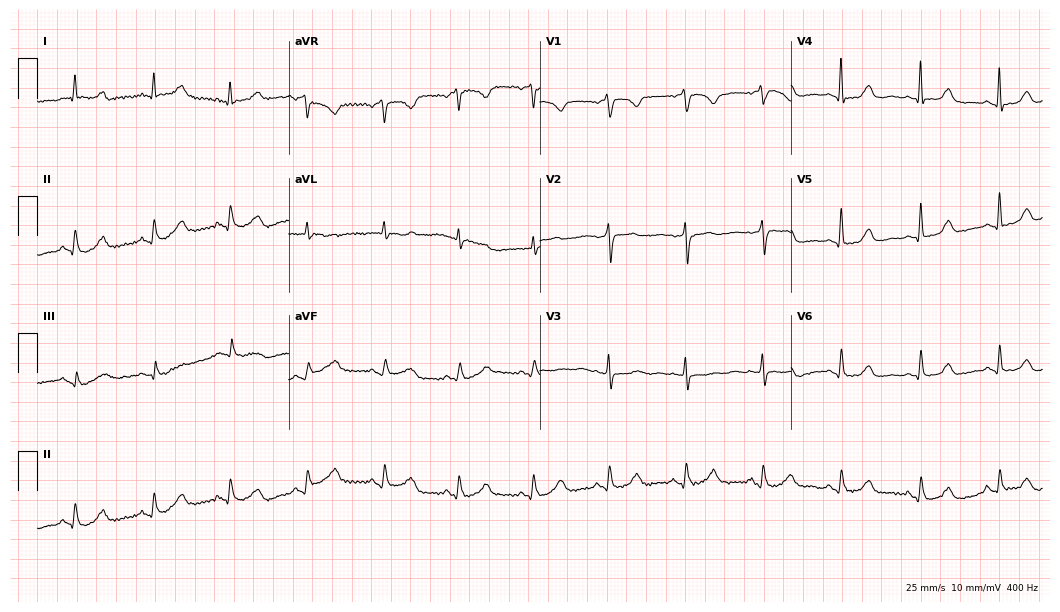
12-lead ECG from a woman, 71 years old. Labelled as a normal ECG.